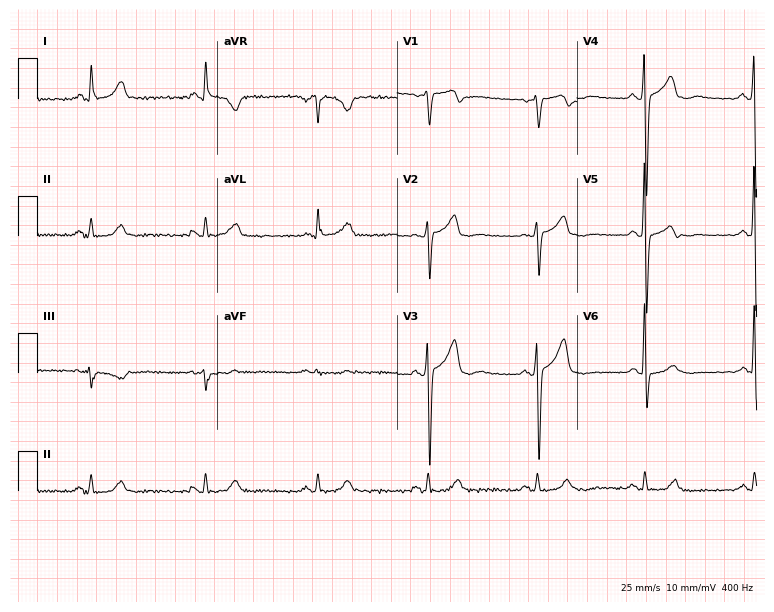
Electrocardiogram (7.3-second recording at 400 Hz), a man, 44 years old. Of the six screened findings (first-degree AV block, right bundle branch block (RBBB), left bundle branch block (LBBB), sinus bradycardia, atrial fibrillation (AF), sinus tachycardia), none is recorded. Only these six findings were labelled.